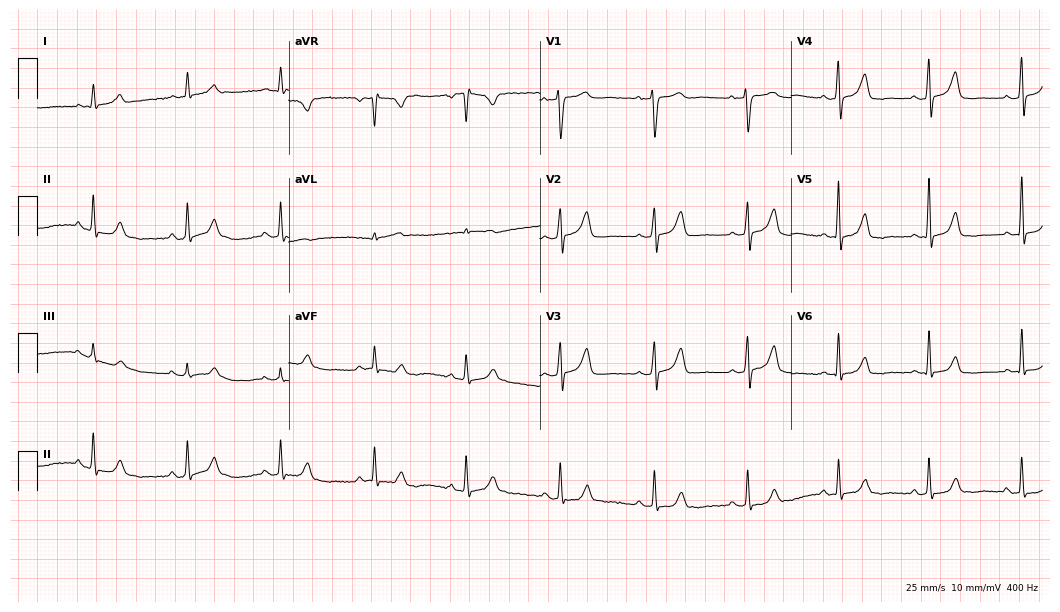
Electrocardiogram, a female, 66 years old. Overall reading on record: normal ECG.